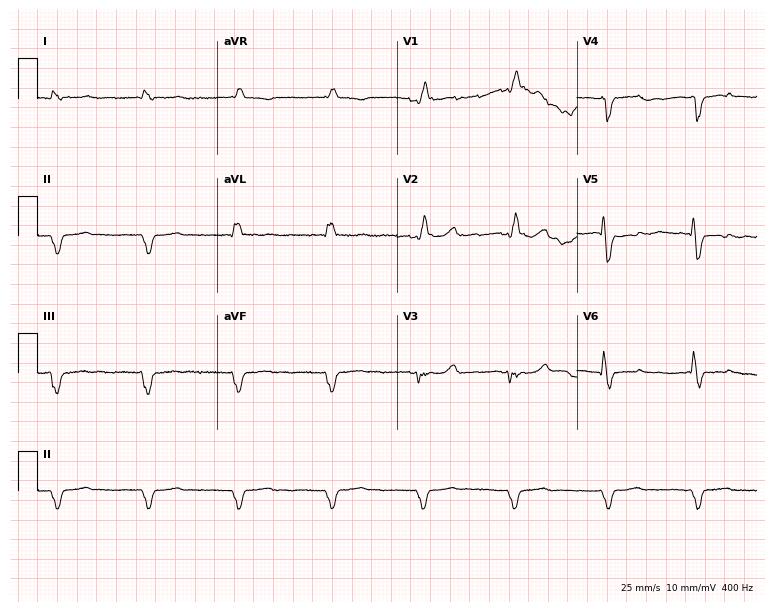
12-lead ECG (7.3-second recording at 400 Hz) from a 72-year-old male patient. Findings include right bundle branch block.